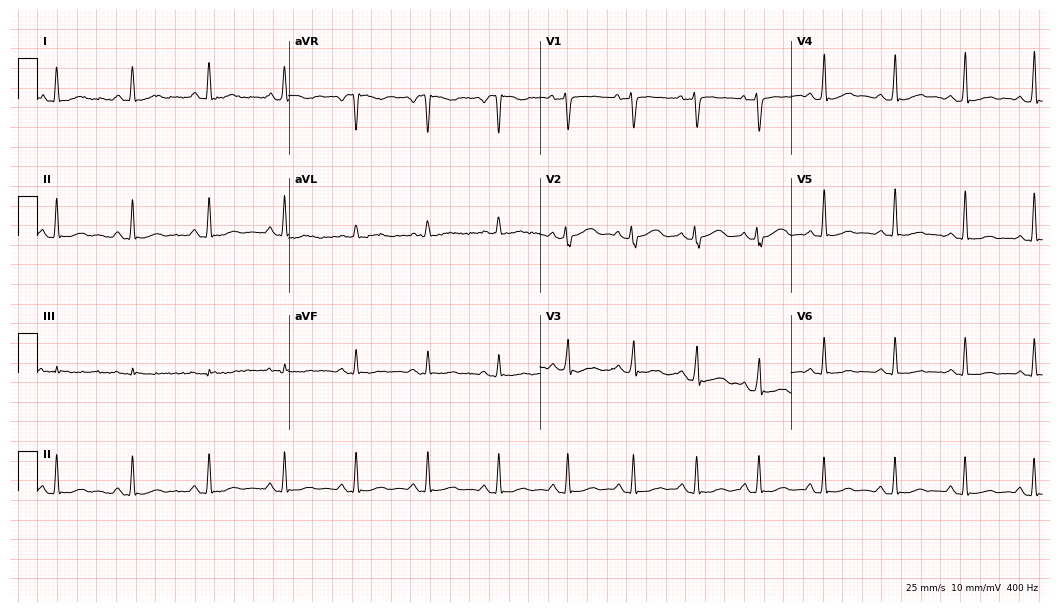
Standard 12-lead ECG recorded from a female, 34 years old. Read as a normal ECG.